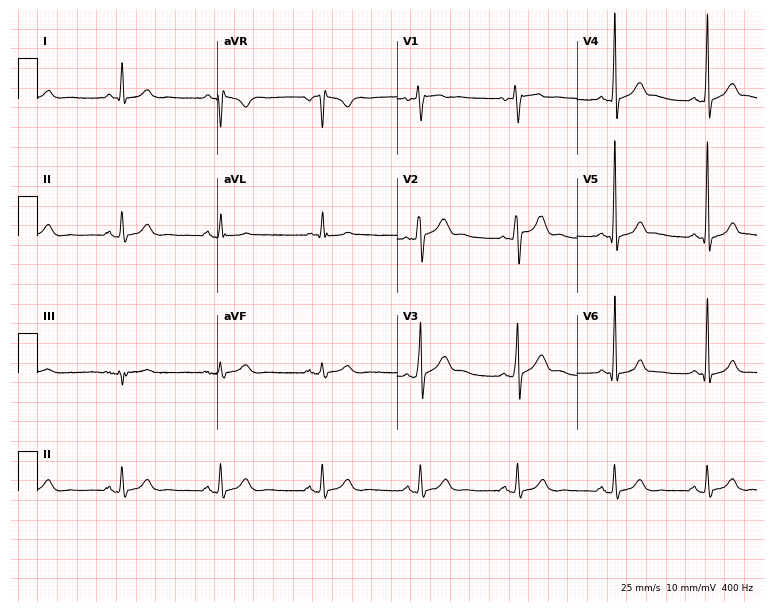
ECG (7.3-second recording at 400 Hz) — a male, 42 years old. Labelled as a normal ECG.